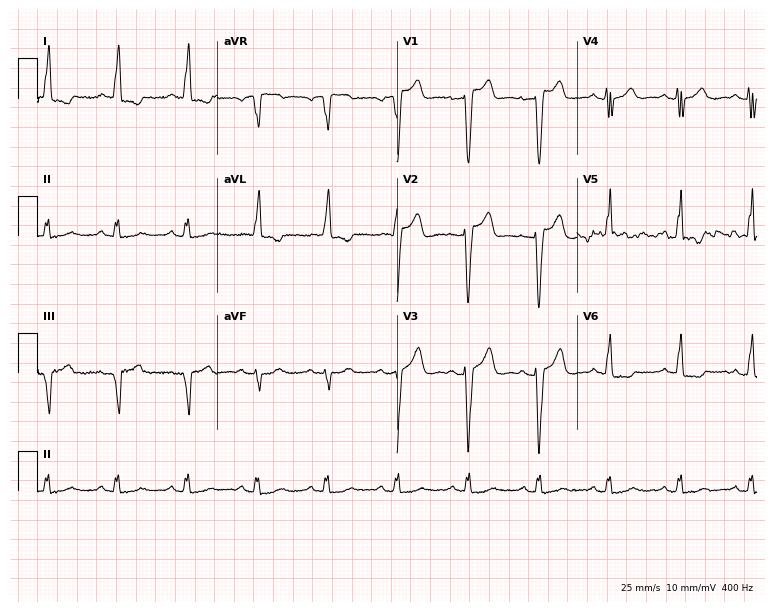
12-lead ECG (7.3-second recording at 400 Hz) from a female patient, 66 years old. Screened for six findings — first-degree AV block, right bundle branch block, left bundle branch block, sinus bradycardia, atrial fibrillation, sinus tachycardia — none is recorded.